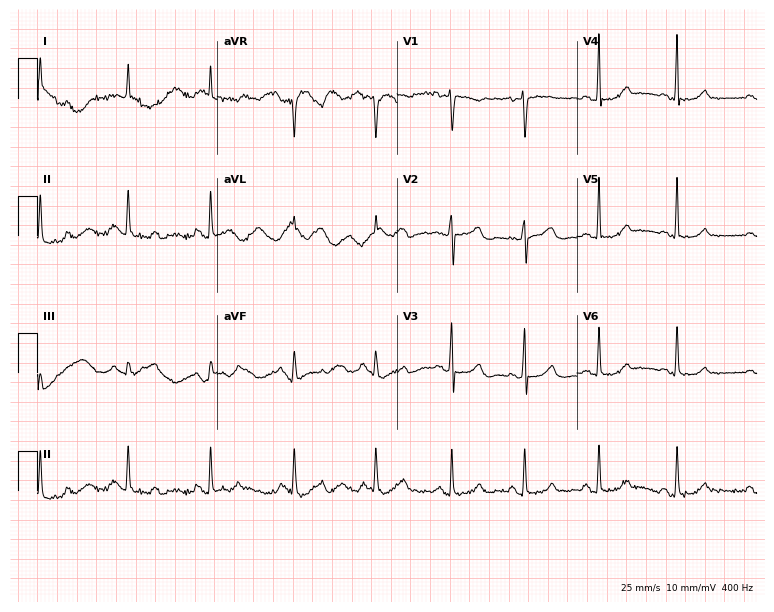
ECG — a 48-year-old female patient. Screened for six findings — first-degree AV block, right bundle branch block, left bundle branch block, sinus bradycardia, atrial fibrillation, sinus tachycardia — none is recorded.